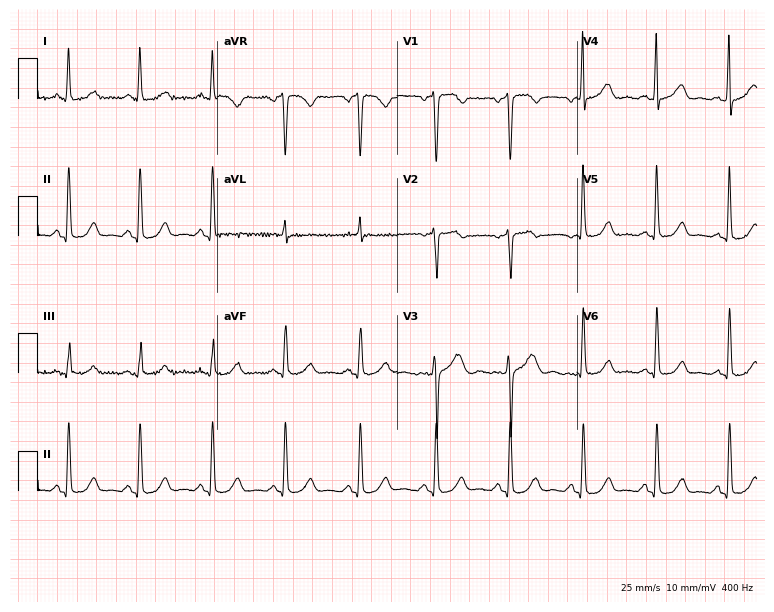
12-lead ECG from a woman, 40 years old. Recorded interpretation: within normal limits.